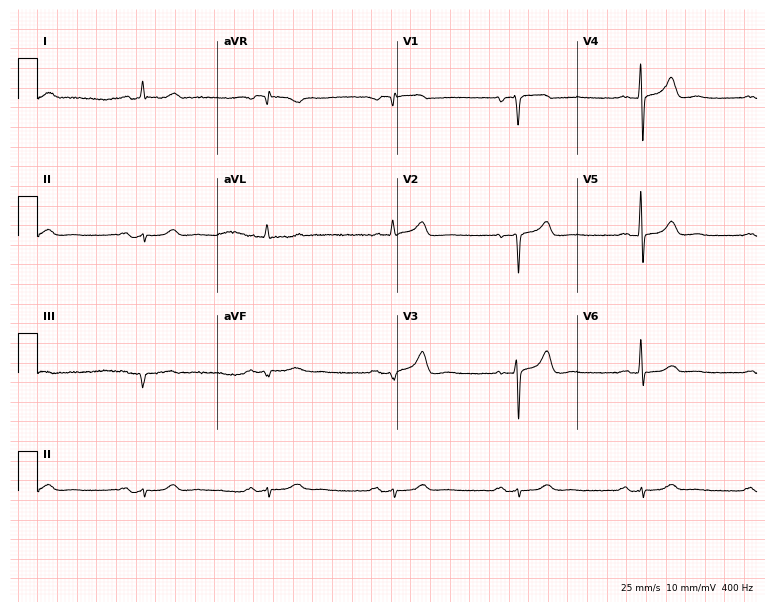
Electrocardiogram (7.3-second recording at 400 Hz), a 73-year-old man. Interpretation includes sinus bradycardia (a sinus rate of 50 beats per minute or less).